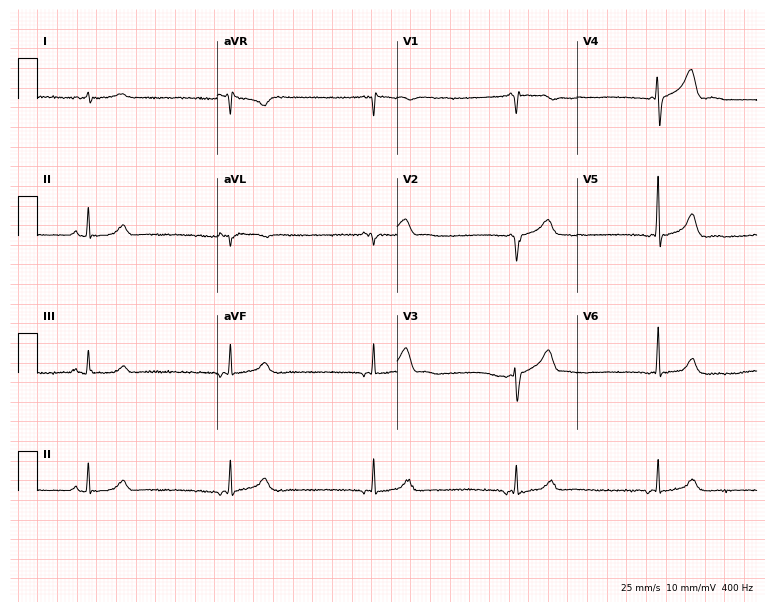
Standard 12-lead ECG recorded from a man, 75 years old. None of these six findings is recorded: first-degree AV block, right bundle branch block, left bundle branch block, sinus bradycardia, atrial fibrillation, sinus tachycardia.